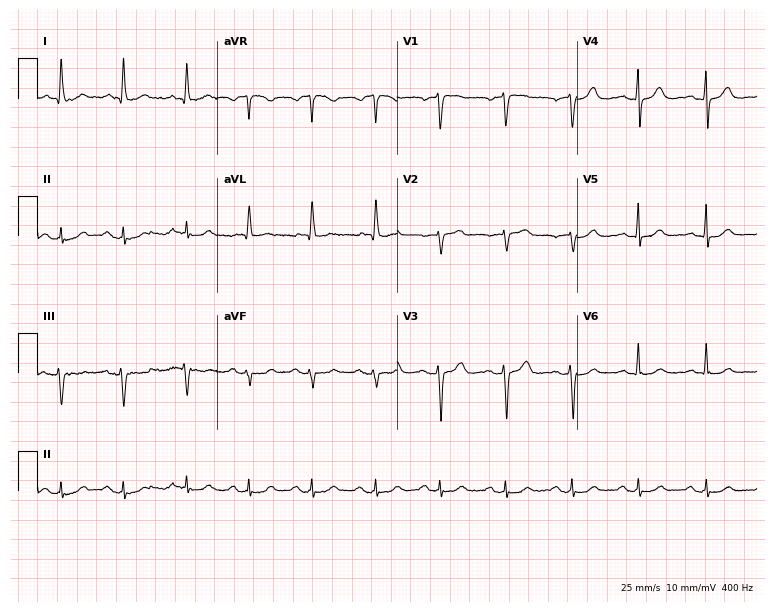
ECG — a 64-year-old female patient. Labelled as a normal ECG.